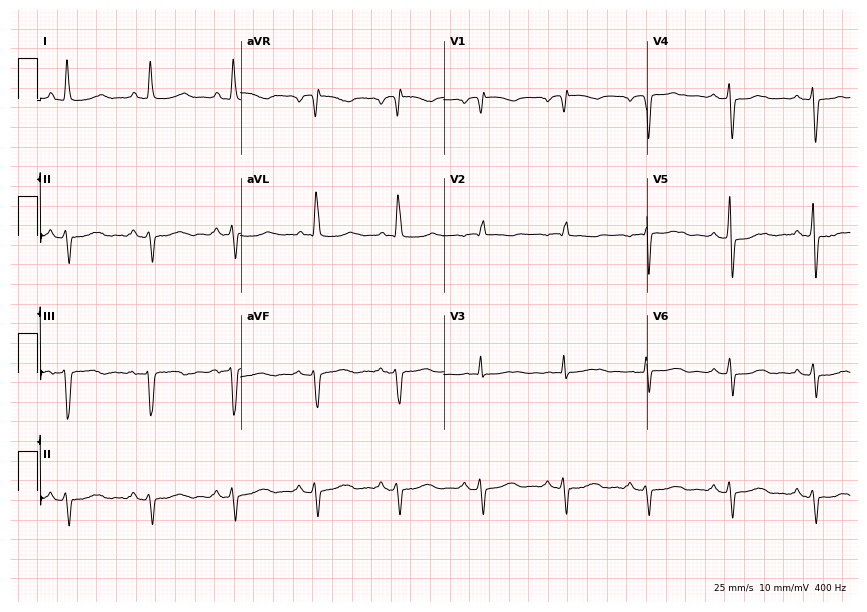
Resting 12-lead electrocardiogram. Patient: a woman, 73 years old. None of these six findings is recorded: first-degree AV block, right bundle branch block (RBBB), left bundle branch block (LBBB), sinus bradycardia, atrial fibrillation (AF), sinus tachycardia. Other findings, if any, are not listed.